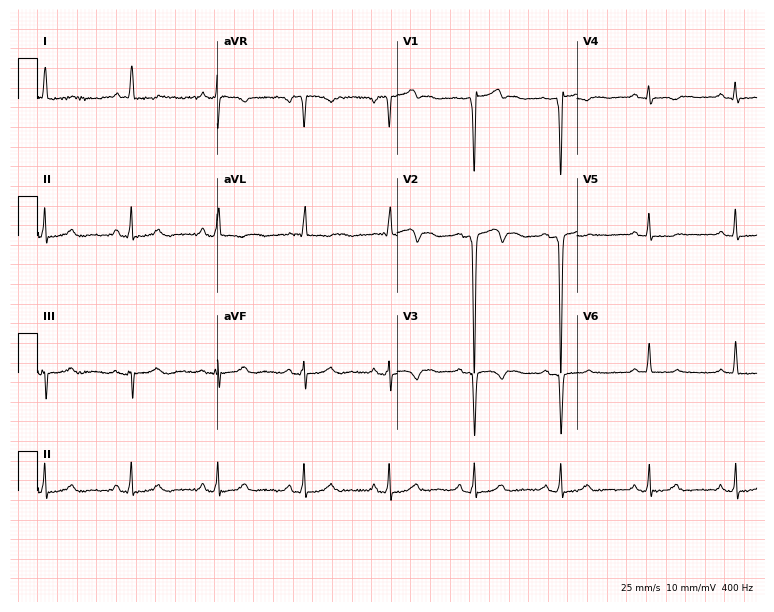
Resting 12-lead electrocardiogram. Patient: a man, 55 years old. None of these six findings is recorded: first-degree AV block, right bundle branch block, left bundle branch block, sinus bradycardia, atrial fibrillation, sinus tachycardia.